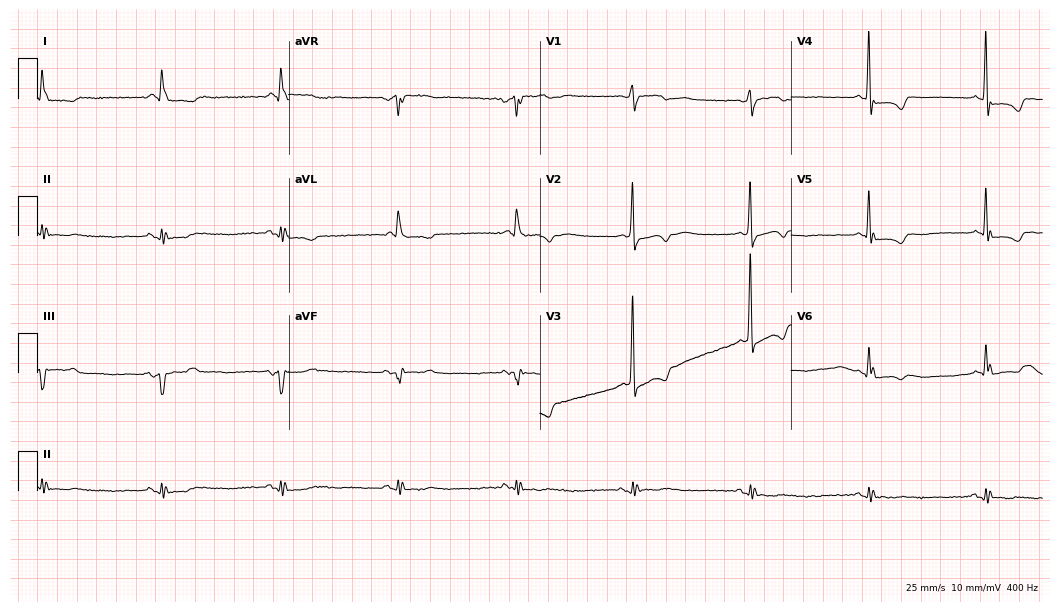
ECG — a woman, 75 years old. Findings include sinus bradycardia (a sinus rate of 50 beats per minute or less).